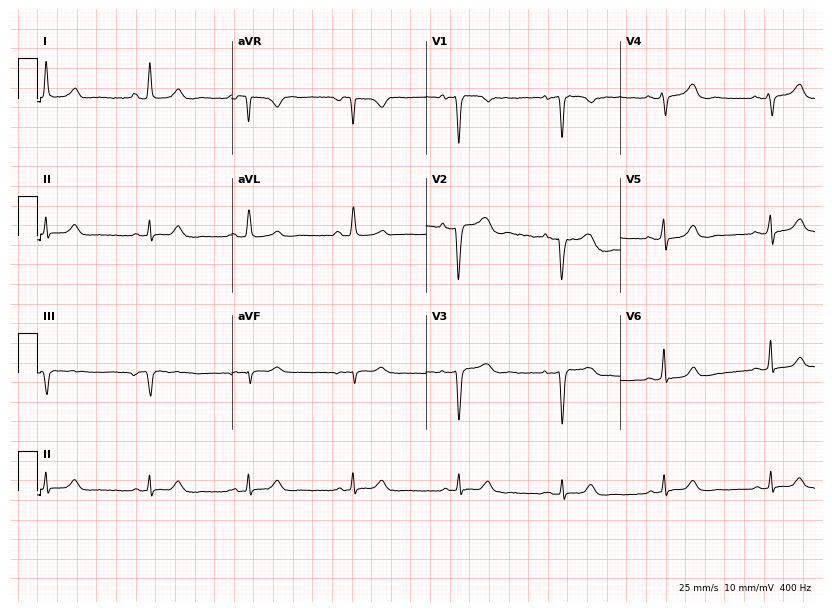
Electrocardiogram (7.9-second recording at 400 Hz), a 44-year-old female. Of the six screened findings (first-degree AV block, right bundle branch block, left bundle branch block, sinus bradycardia, atrial fibrillation, sinus tachycardia), none is recorded.